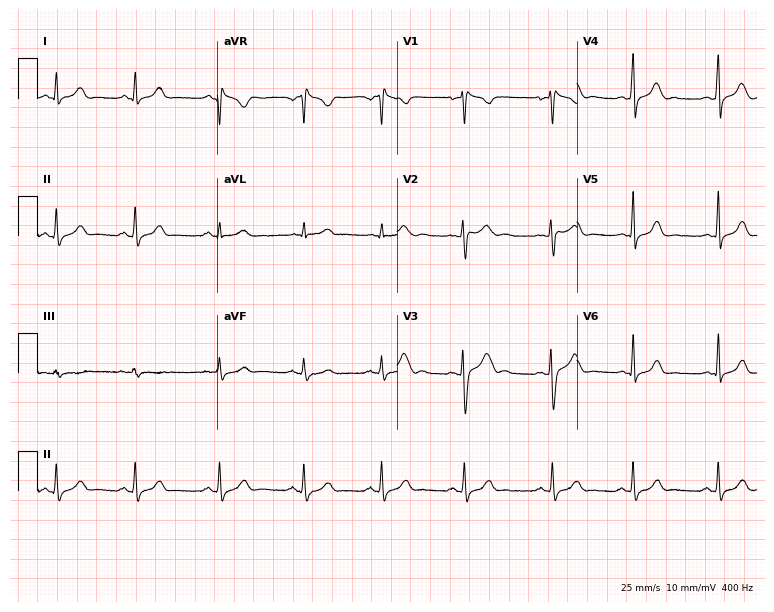
ECG — a 30-year-old female. Screened for six findings — first-degree AV block, right bundle branch block (RBBB), left bundle branch block (LBBB), sinus bradycardia, atrial fibrillation (AF), sinus tachycardia — none is recorded. Other findings, if any, are not listed.